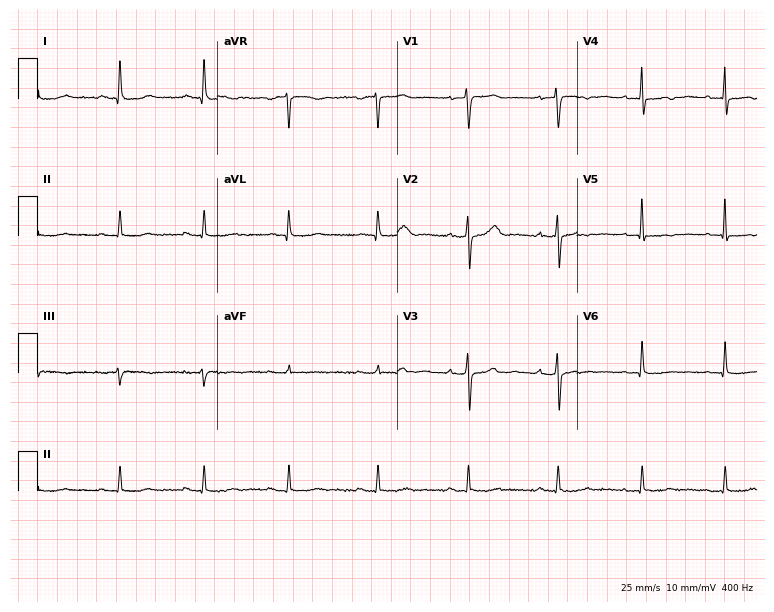
12-lead ECG (7.3-second recording at 400 Hz) from a 56-year-old female. Screened for six findings — first-degree AV block, right bundle branch block, left bundle branch block, sinus bradycardia, atrial fibrillation, sinus tachycardia — none is recorded. Other findings, if any, are not listed.